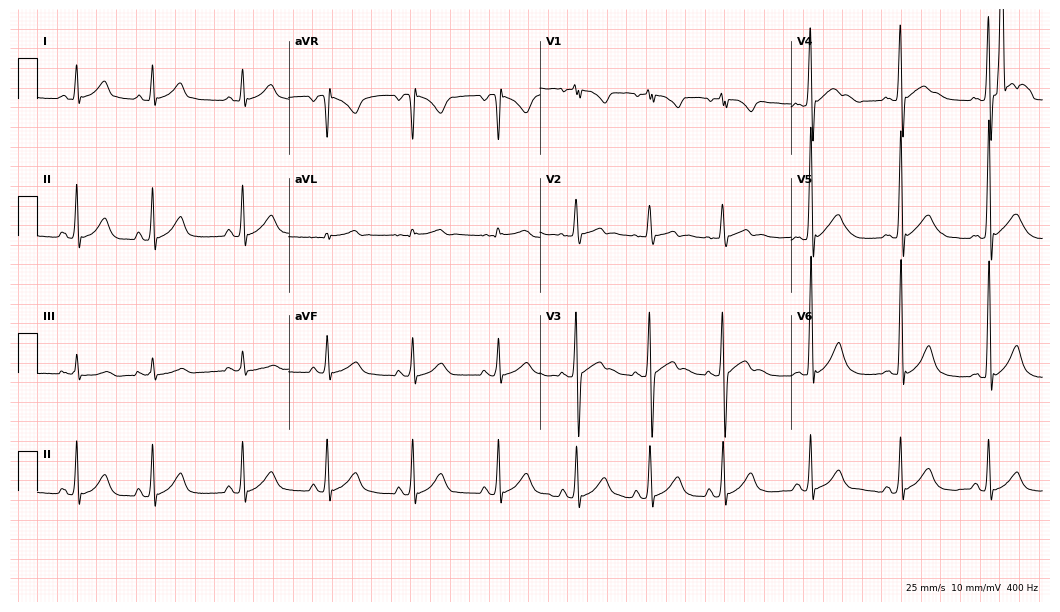
Standard 12-lead ECG recorded from a male, 20 years old. Read as a normal ECG.